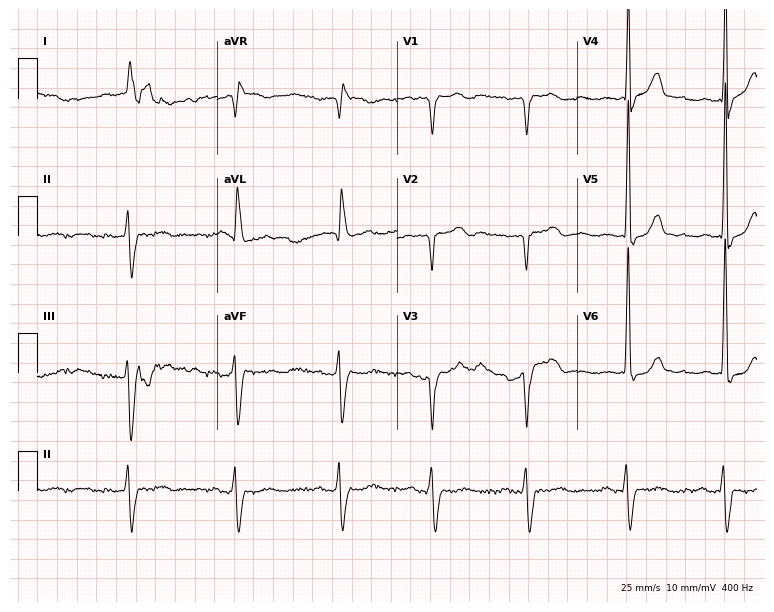
12-lead ECG (7.3-second recording at 400 Hz) from an 81-year-old male. Findings include first-degree AV block, left bundle branch block.